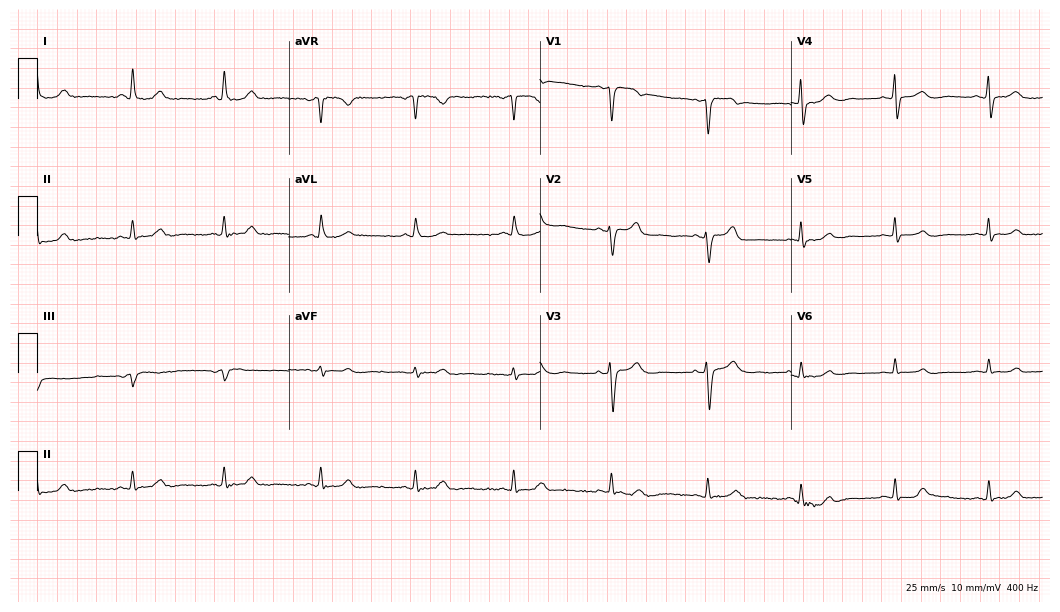
12-lead ECG from a female, 52 years old (10.2-second recording at 400 Hz). Recorded interpretation: within normal limits.